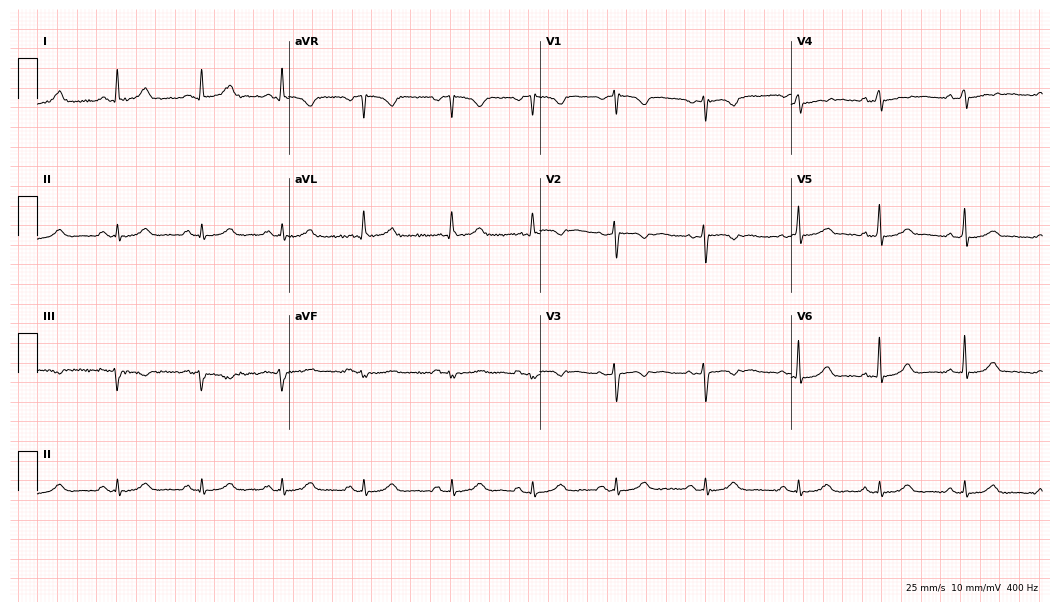
Standard 12-lead ECG recorded from a 35-year-old woman (10.2-second recording at 400 Hz). Read as a normal ECG.